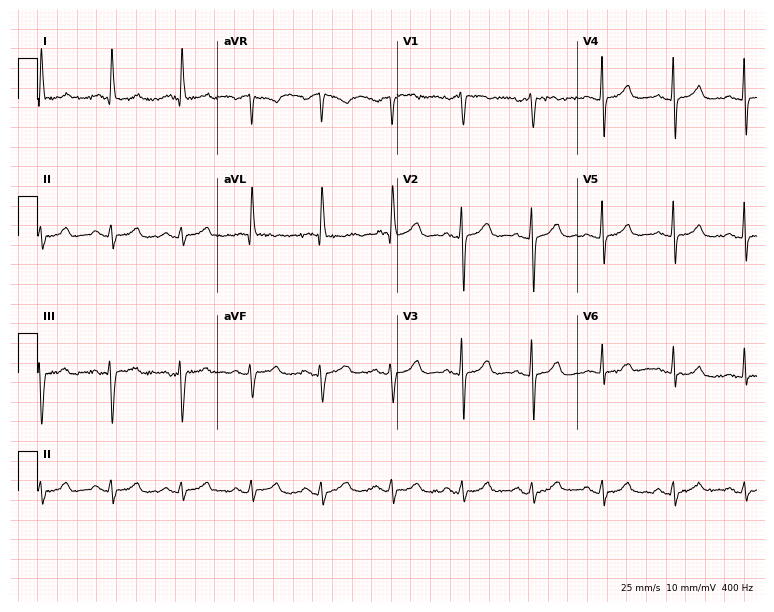
Electrocardiogram (7.3-second recording at 400 Hz), an 80-year-old female patient. Overall reading on record: normal ECG.